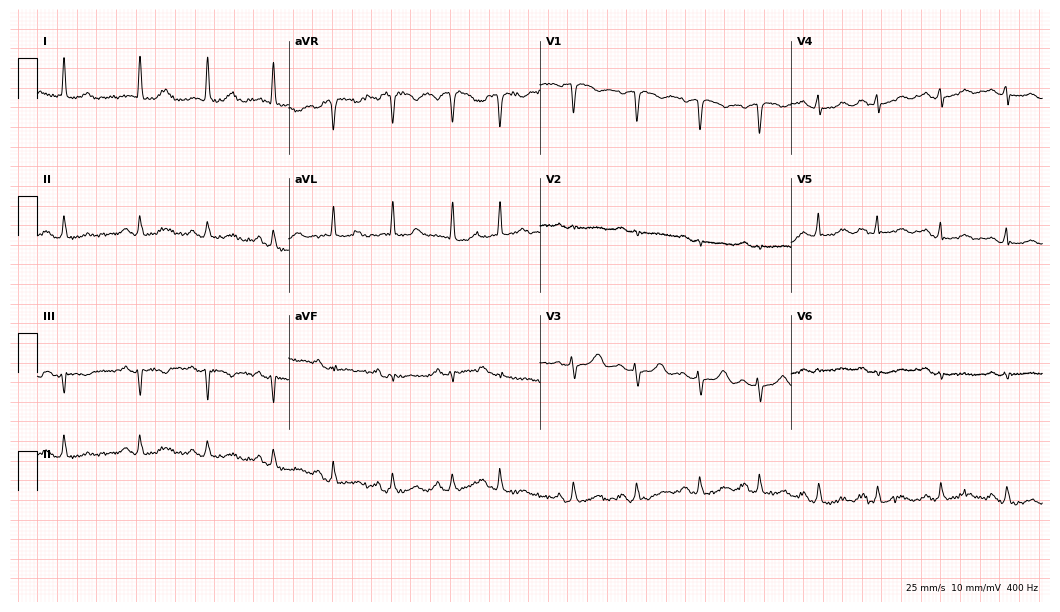
Electrocardiogram (10.2-second recording at 400 Hz), a 72-year-old female patient. Of the six screened findings (first-degree AV block, right bundle branch block (RBBB), left bundle branch block (LBBB), sinus bradycardia, atrial fibrillation (AF), sinus tachycardia), none is recorded.